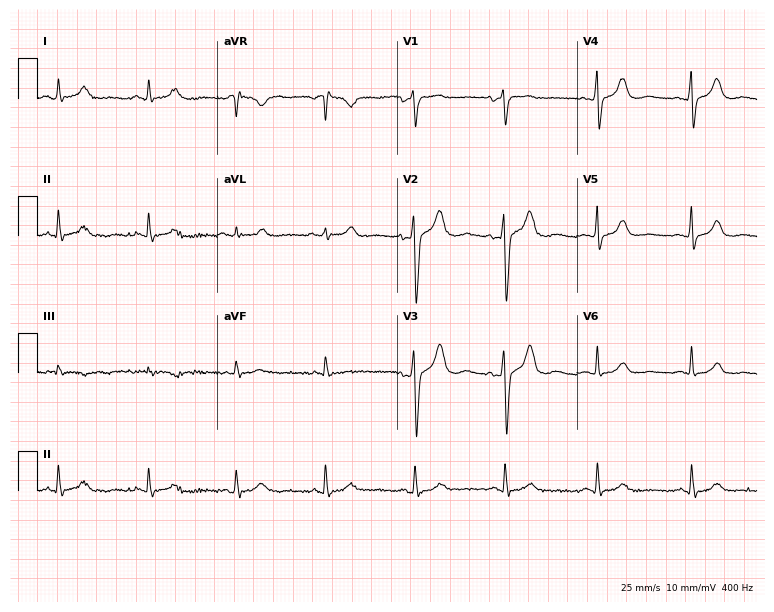
12-lead ECG from a 53-year-old woman. Recorded interpretation: within normal limits.